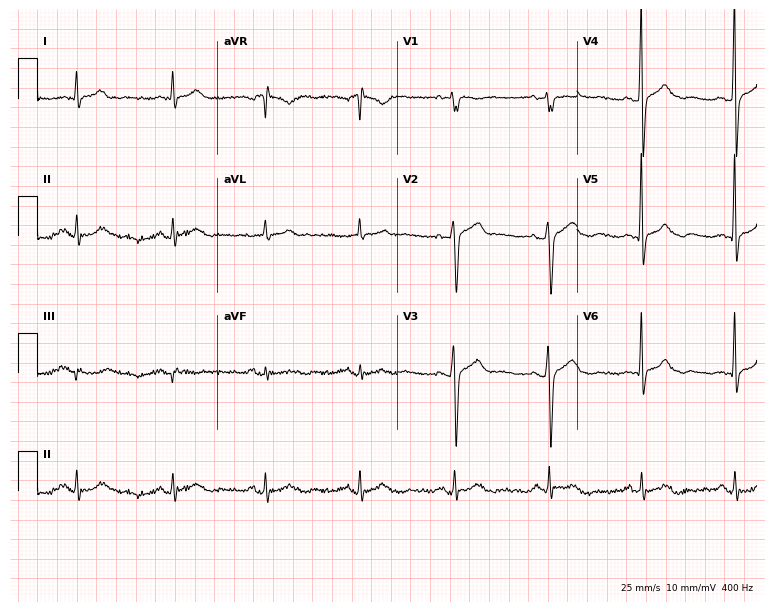
Standard 12-lead ECG recorded from a male patient, 66 years old. None of these six findings is recorded: first-degree AV block, right bundle branch block, left bundle branch block, sinus bradycardia, atrial fibrillation, sinus tachycardia. Only these six findings were labelled.